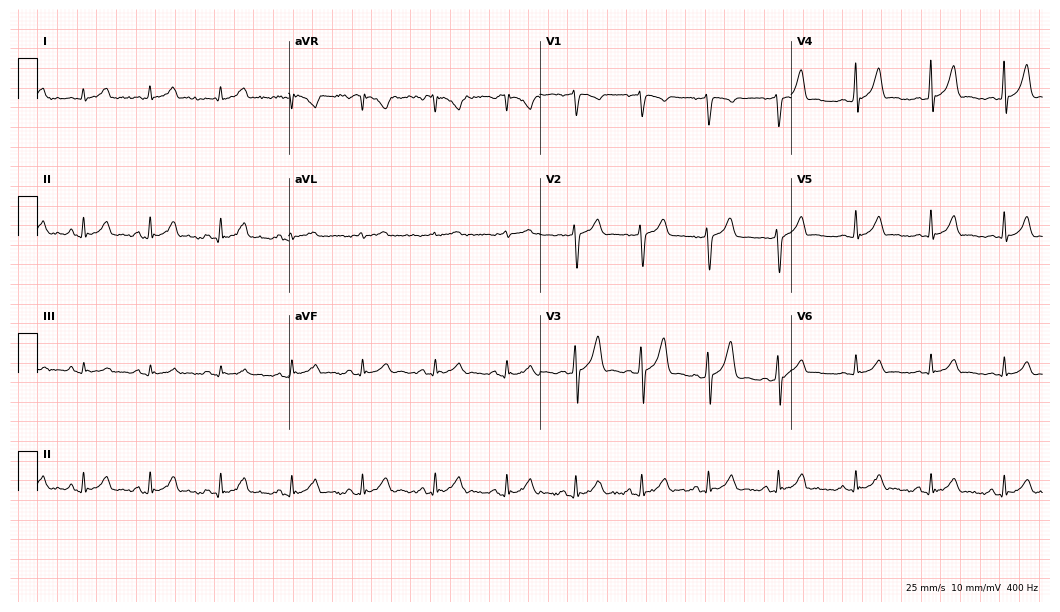
Electrocardiogram (10.2-second recording at 400 Hz), a 33-year-old male patient. Overall reading on record: normal ECG.